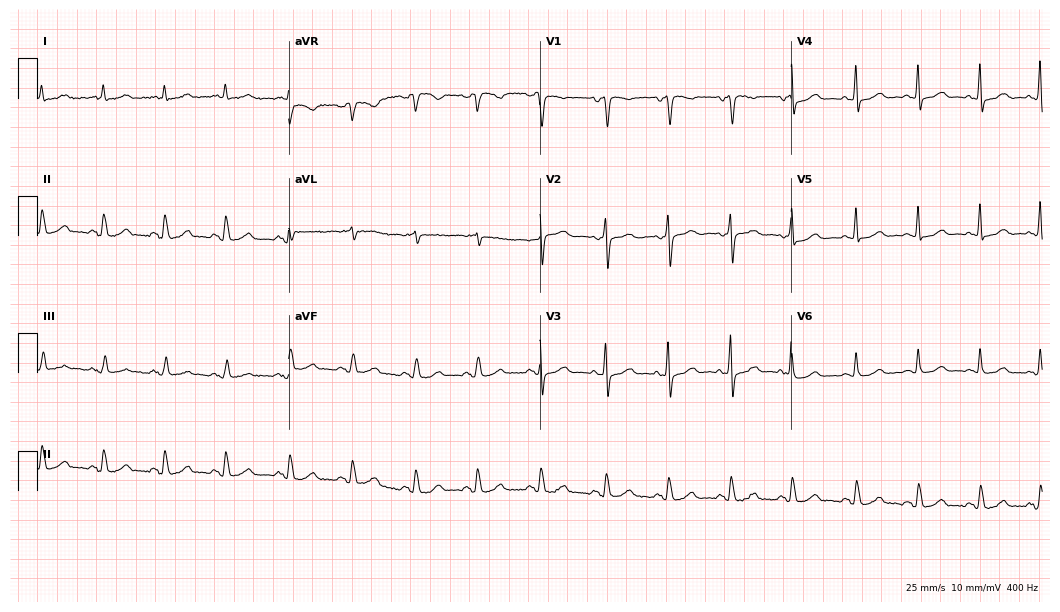
ECG — a female patient, 68 years old. Labelled as a normal ECG.